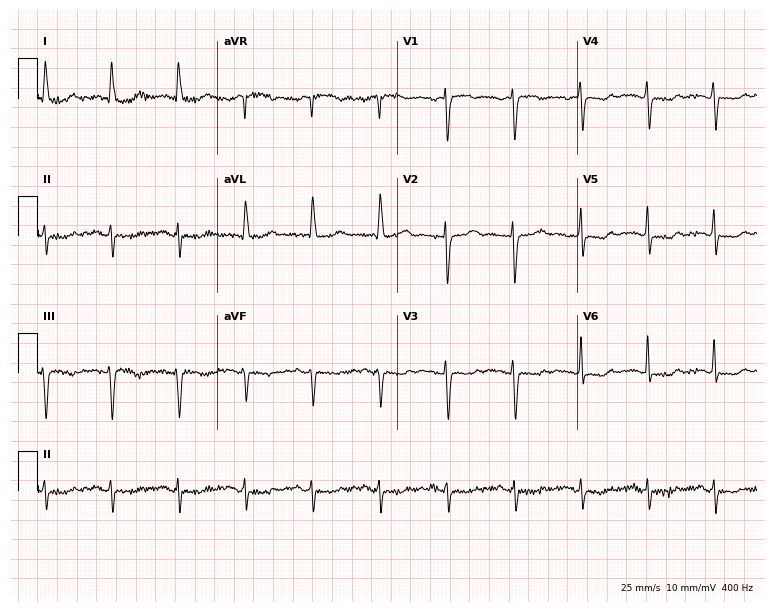
12-lead ECG (7.3-second recording at 400 Hz) from a female patient, 70 years old. Screened for six findings — first-degree AV block, right bundle branch block, left bundle branch block, sinus bradycardia, atrial fibrillation, sinus tachycardia — none is recorded.